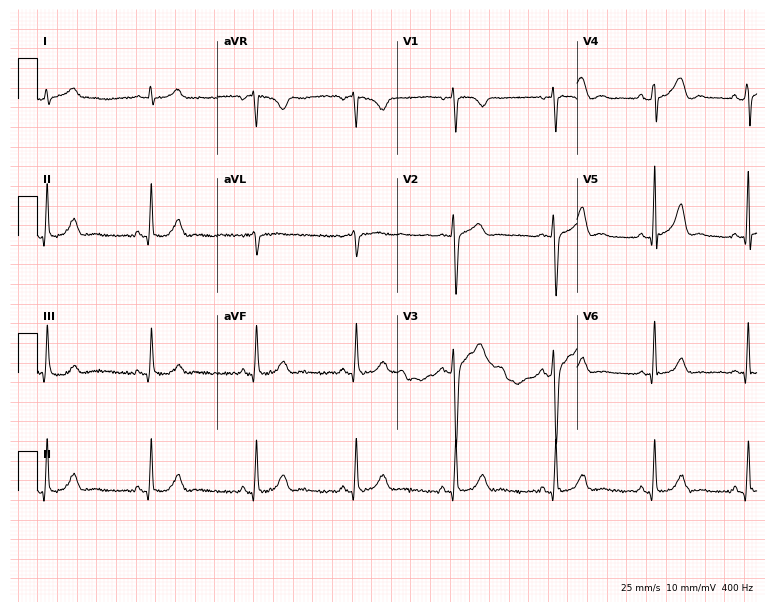
Electrocardiogram (7.3-second recording at 400 Hz), a 48-year-old man. Of the six screened findings (first-degree AV block, right bundle branch block (RBBB), left bundle branch block (LBBB), sinus bradycardia, atrial fibrillation (AF), sinus tachycardia), none is recorded. Other findings, if any, are not listed.